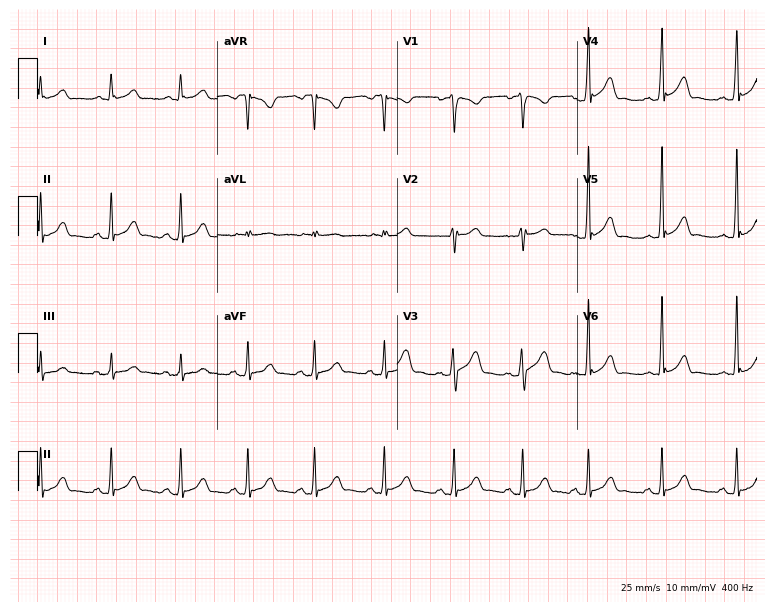
Electrocardiogram (7.3-second recording at 400 Hz), a male patient, 34 years old. Overall reading on record: normal ECG.